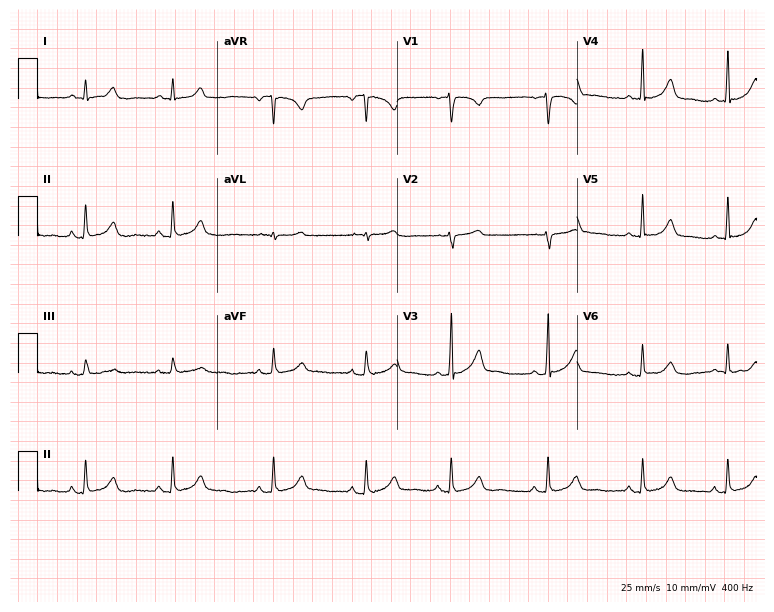
ECG (7.3-second recording at 400 Hz) — a female, 18 years old. Labelled as a normal ECG.